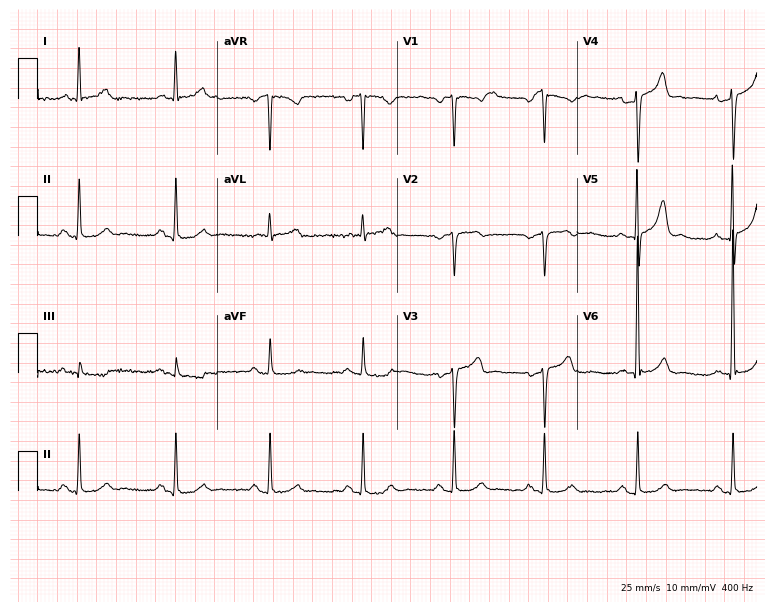
12-lead ECG from a man, 77 years old (7.3-second recording at 400 Hz). Recorded interpretation: within normal limits.